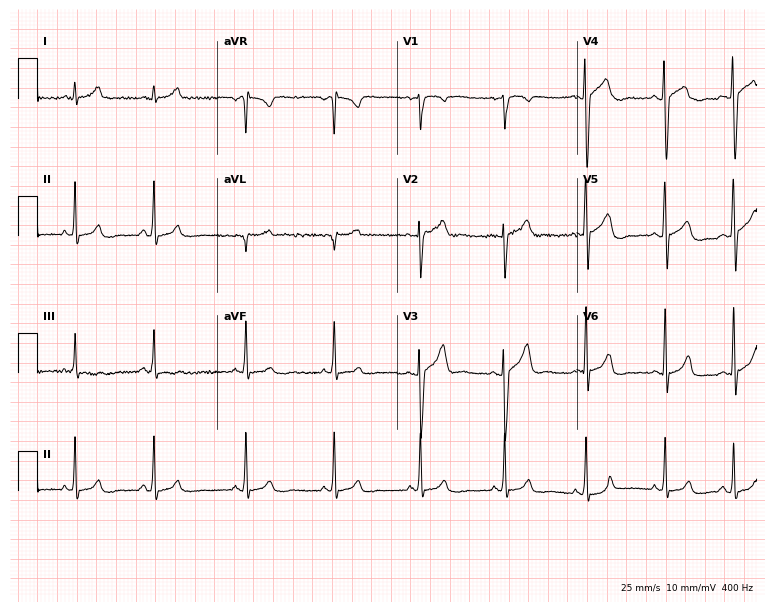
ECG — a male patient, 19 years old. Labelled as a normal ECG.